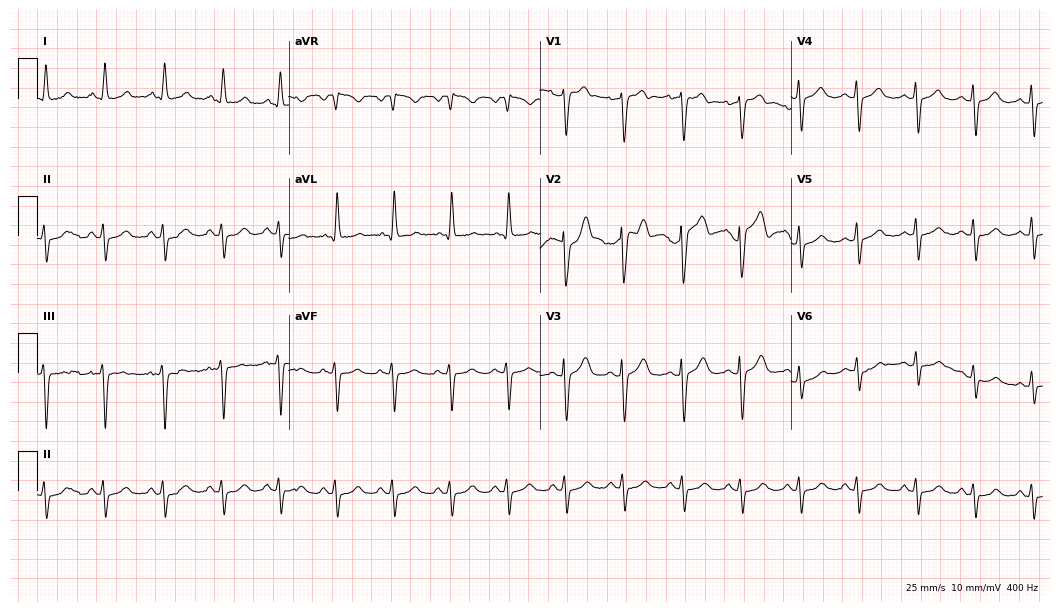
Electrocardiogram (10.2-second recording at 400 Hz), a female, 61 years old. Of the six screened findings (first-degree AV block, right bundle branch block, left bundle branch block, sinus bradycardia, atrial fibrillation, sinus tachycardia), none is recorded.